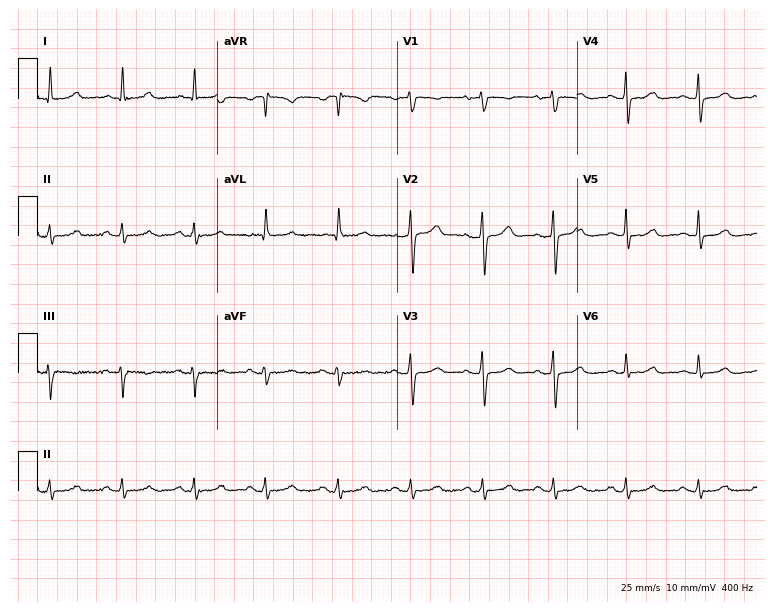
Standard 12-lead ECG recorded from a woman, 55 years old (7.3-second recording at 400 Hz). Read as a normal ECG.